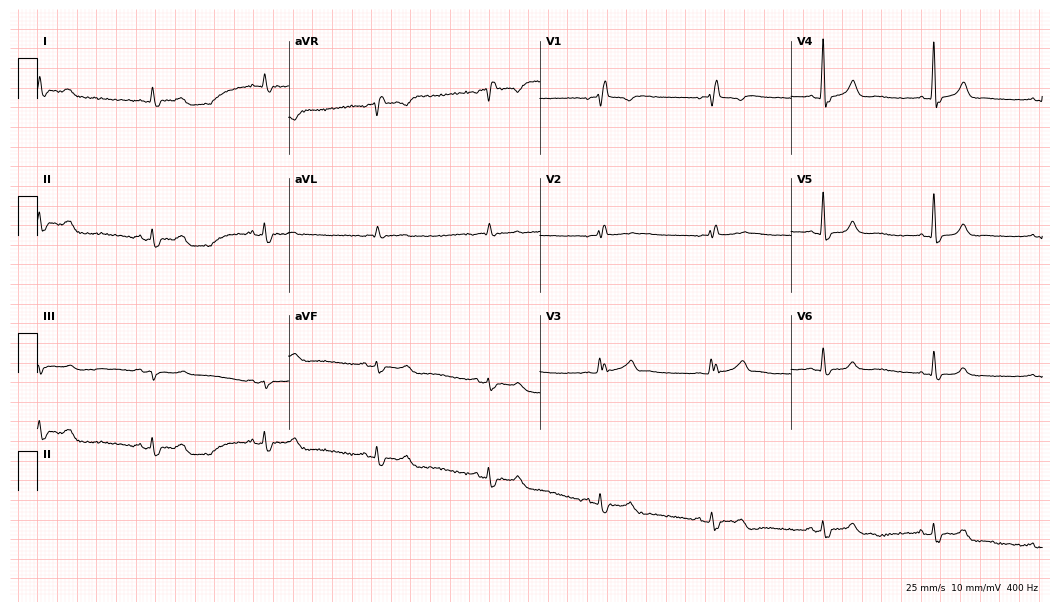
12-lead ECG from an 82-year-old male patient (10.2-second recording at 400 Hz). Shows right bundle branch block (RBBB).